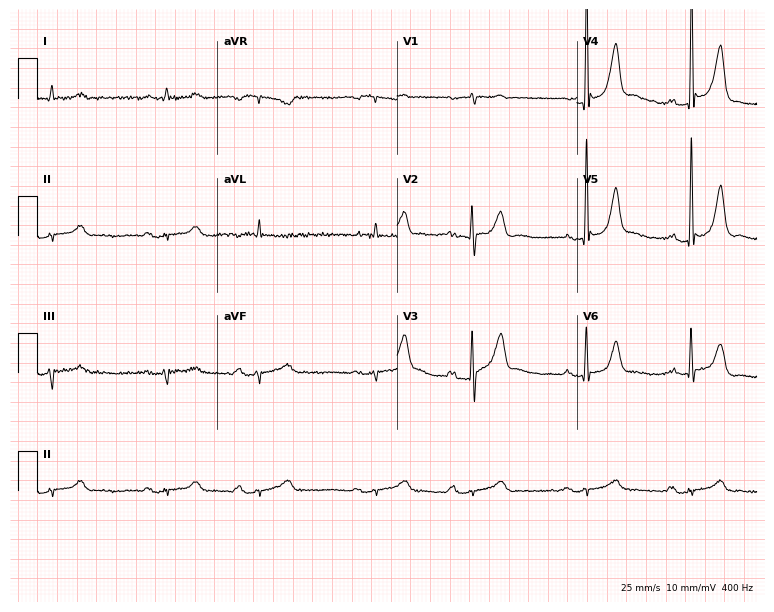
12-lead ECG from a male, 76 years old. Shows first-degree AV block.